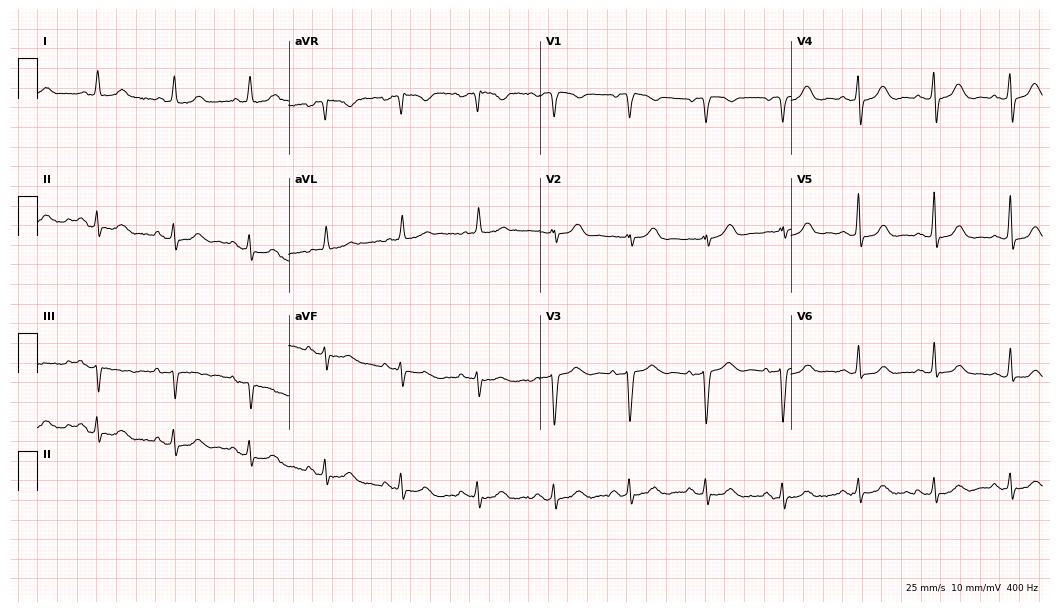
Resting 12-lead electrocardiogram (10.2-second recording at 400 Hz). Patient: an 85-year-old female. Read as a normal ECG.